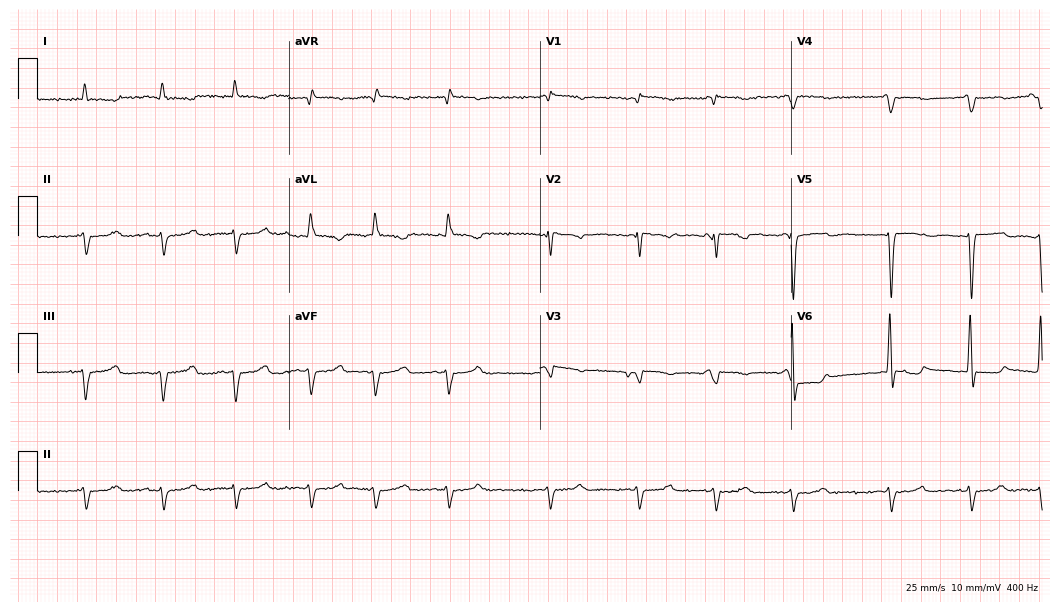
Resting 12-lead electrocardiogram (10.2-second recording at 400 Hz). Patient: an 83-year-old man. None of these six findings is recorded: first-degree AV block, right bundle branch block, left bundle branch block, sinus bradycardia, atrial fibrillation, sinus tachycardia. Other findings, if any, are not listed.